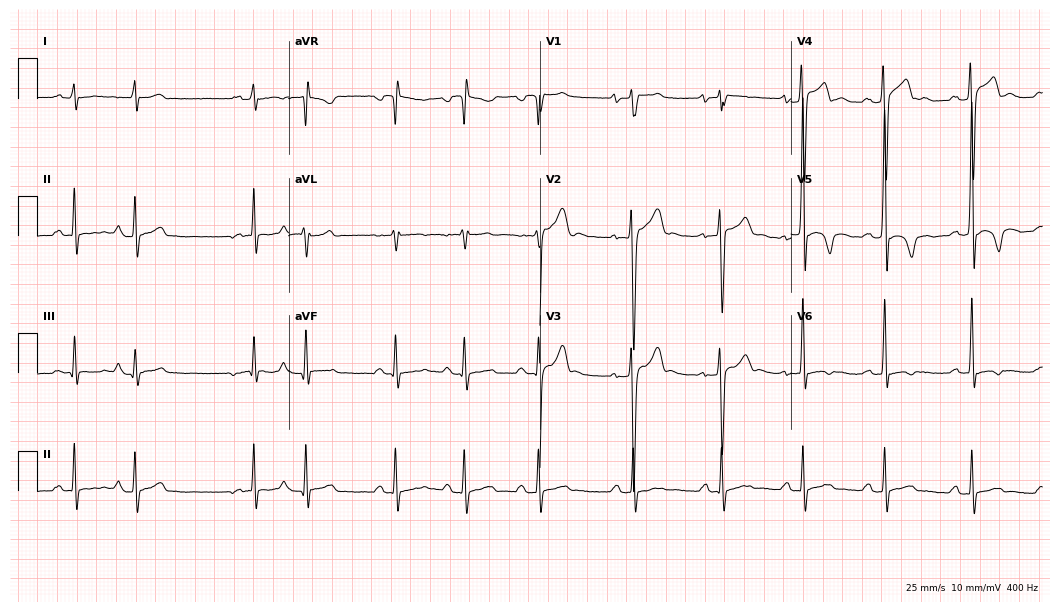
12-lead ECG from a 17-year-old male (10.2-second recording at 400 Hz). No first-degree AV block, right bundle branch block (RBBB), left bundle branch block (LBBB), sinus bradycardia, atrial fibrillation (AF) or sinus tachycardia recorded for this tracing. Findings outside these six are not listed.